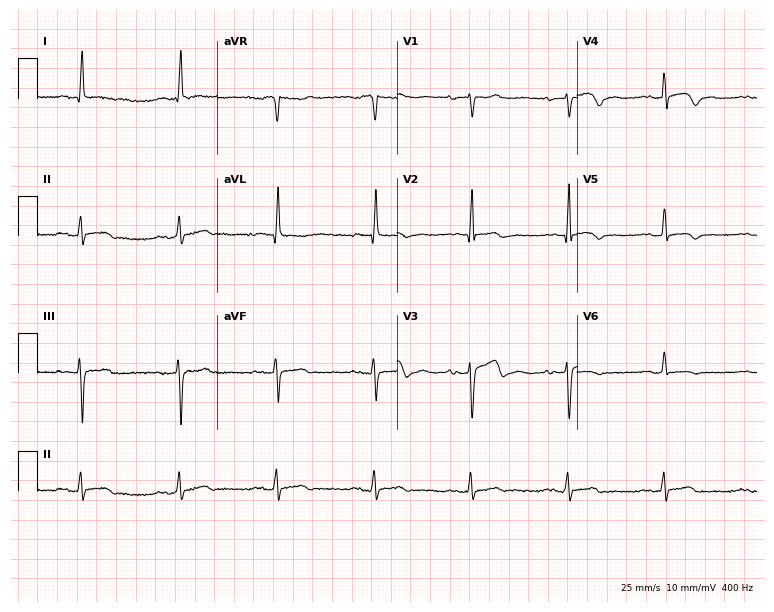
ECG — a female, 81 years old. Screened for six findings — first-degree AV block, right bundle branch block (RBBB), left bundle branch block (LBBB), sinus bradycardia, atrial fibrillation (AF), sinus tachycardia — none is recorded.